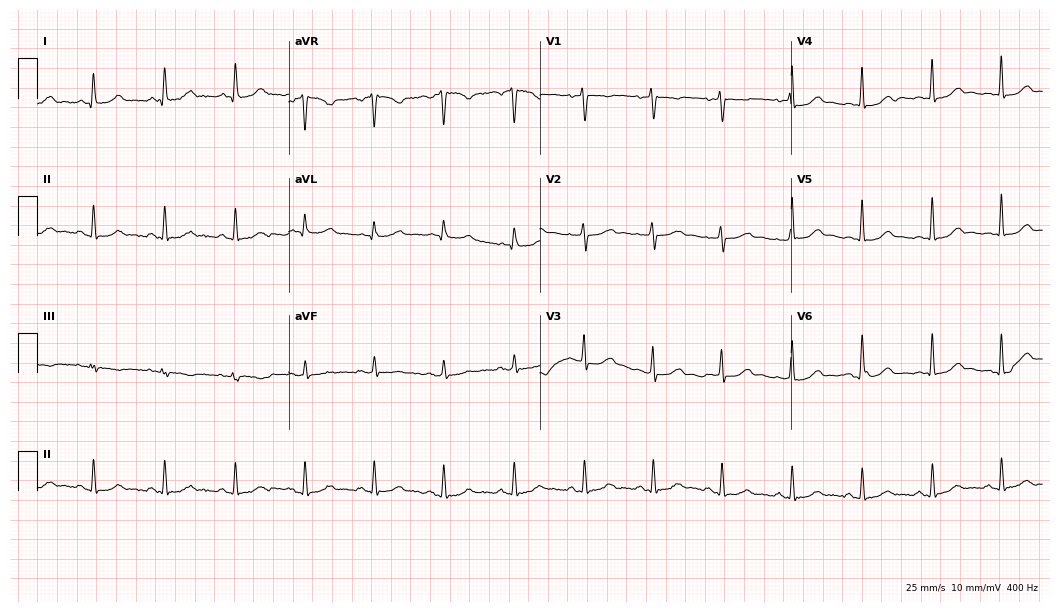
Electrocardiogram, a female patient, 43 years old. Of the six screened findings (first-degree AV block, right bundle branch block, left bundle branch block, sinus bradycardia, atrial fibrillation, sinus tachycardia), none is recorded.